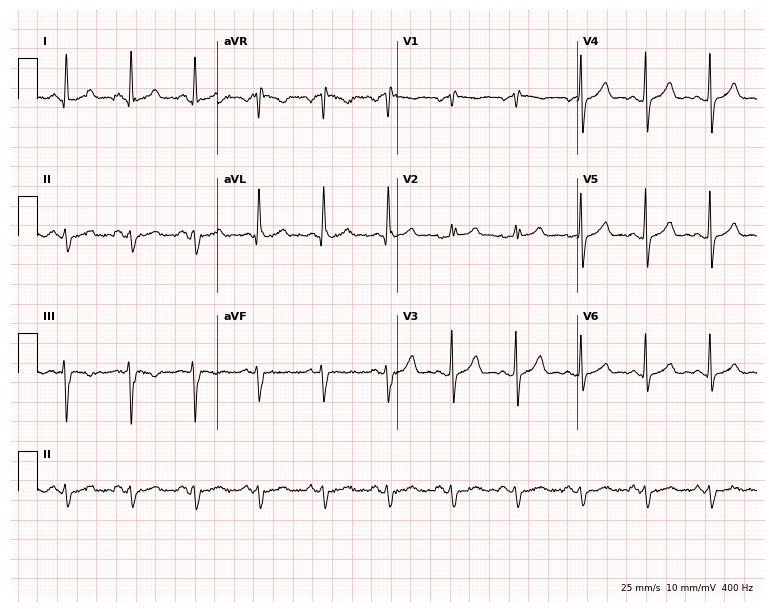
Standard 12-lead ECG recorded from a female patient, 33 years old (7.3-second recording at 400 Hz). None of these six findings is recorded: first-degree AV block, right bundle branch block, left bundle branch block, sinus bradycardia, atrial fibrillation, sinus tachycardia.